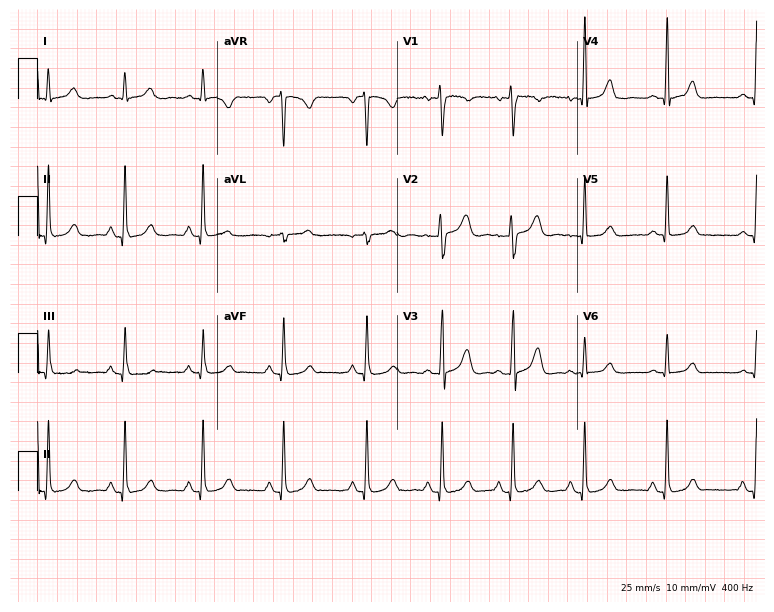
12-lead ECG from a 44-year-old woman (7.3-second recording at 400 Hz). No first-degree AV block, right bundle branch block (RBBB), left bundle branch block (LBBB), sinus bradycardia, atrial fibrillation (AF) or sinus tachycardia recorded for this tracing.